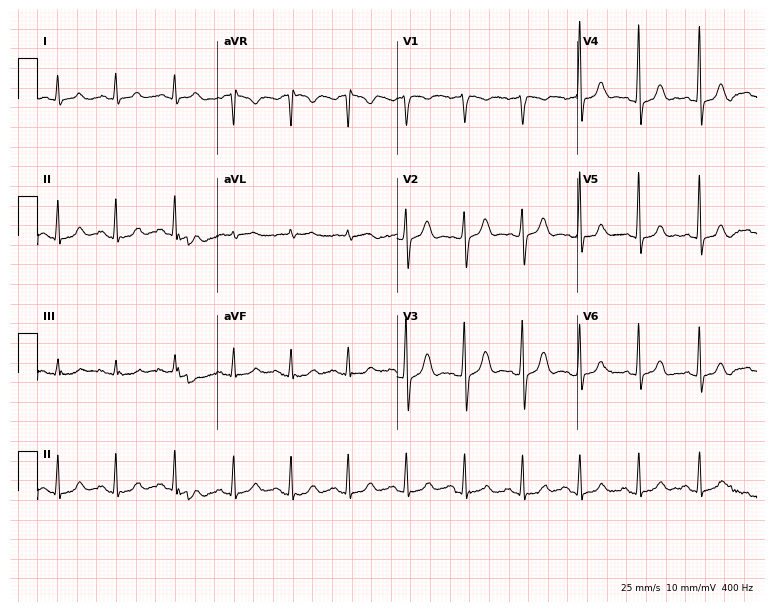
12-lead ECG (7.3-second recording at 400 Hz) from a 54-year-old female. Findings include sinus tachycardia (a sinus rate of 100 beats per minute or more).